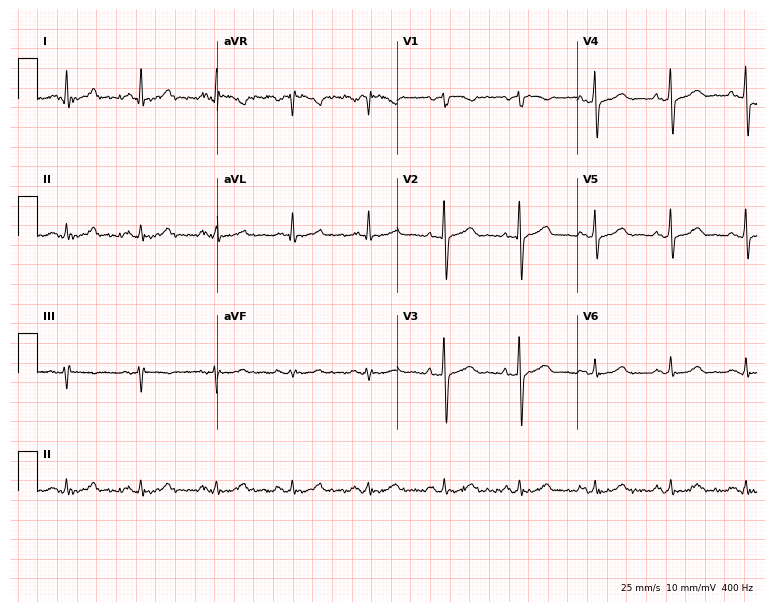
12-lead ECG (7.3-second recording at 400 Hz) from a 67-year-old female. Labelled as a normal ECG.